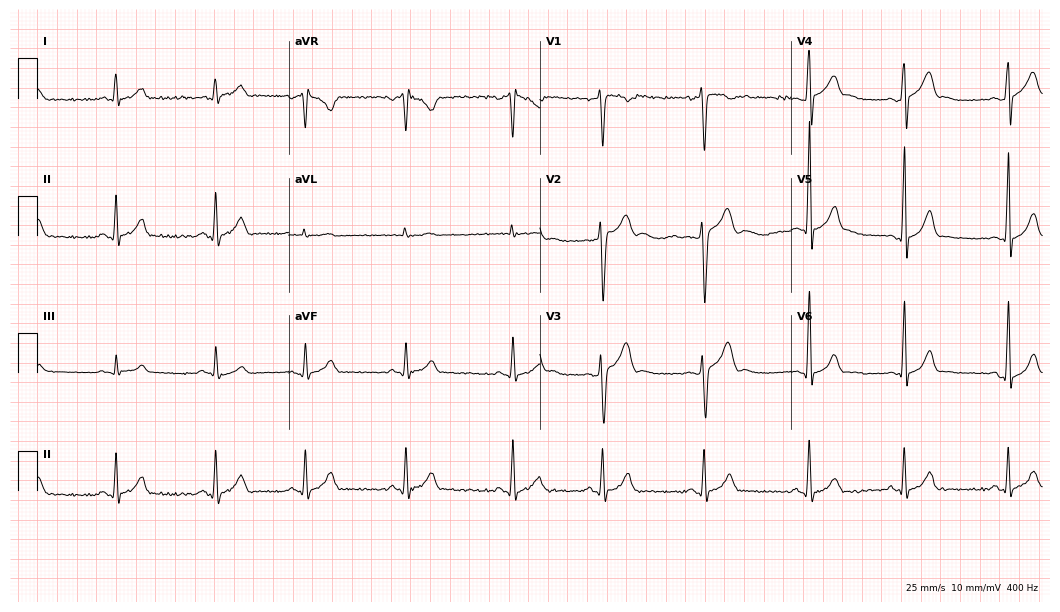
12-lead ECG from a 22-year-old male patient. Labelled as a normal ECG.